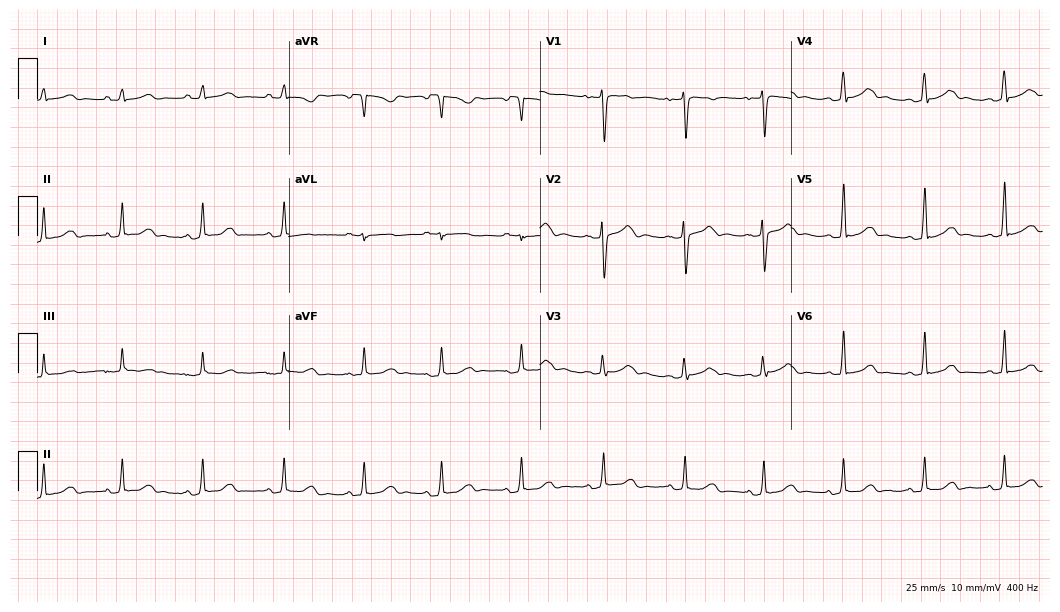
Electrocardiogram, a female patient, 33 years old. Overall reading on record: normal ECG.